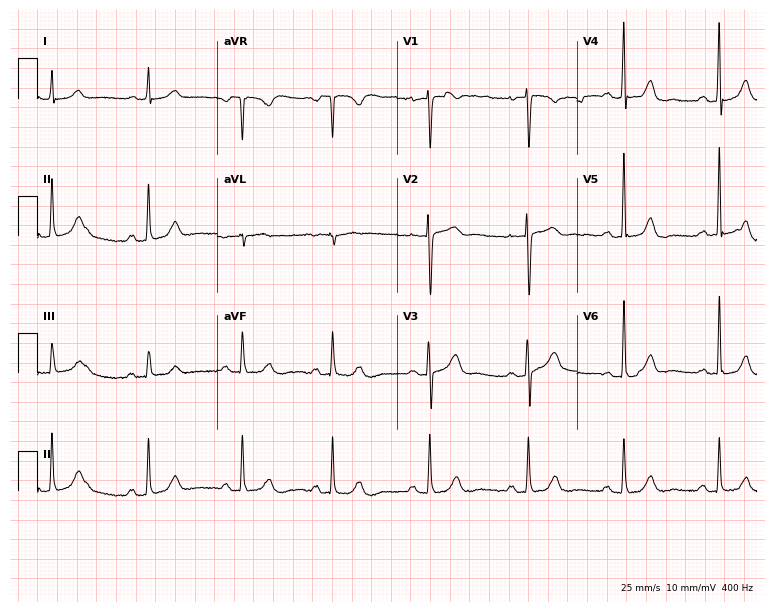
Standard 12-lead ECG recorded from a woman, 60 years old. Read as a normal ECG.